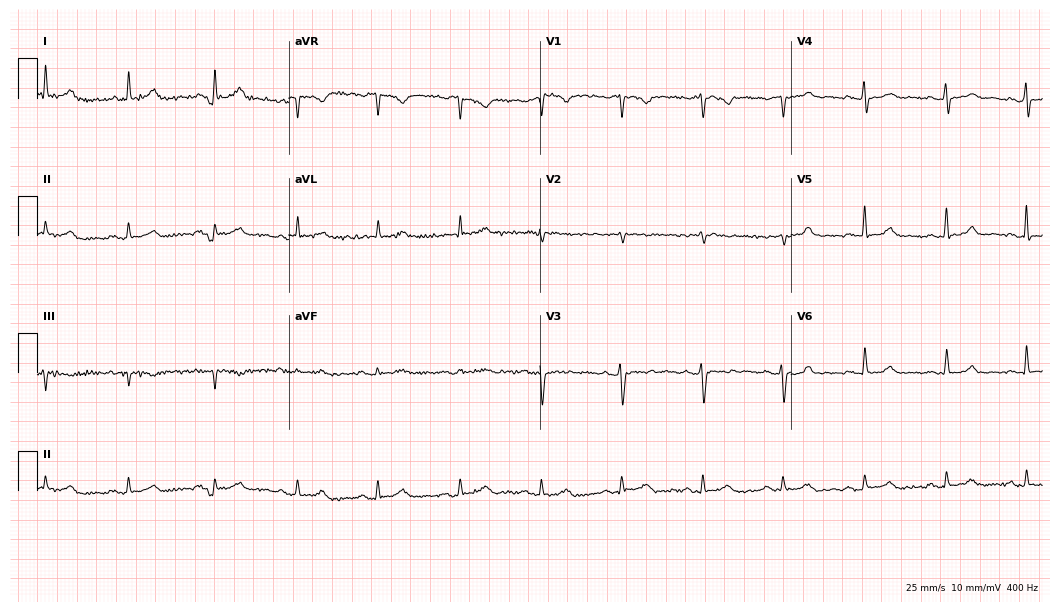
Standard 12-lead ECG recorded from a 48-year-old female. Read as a normal ECG.